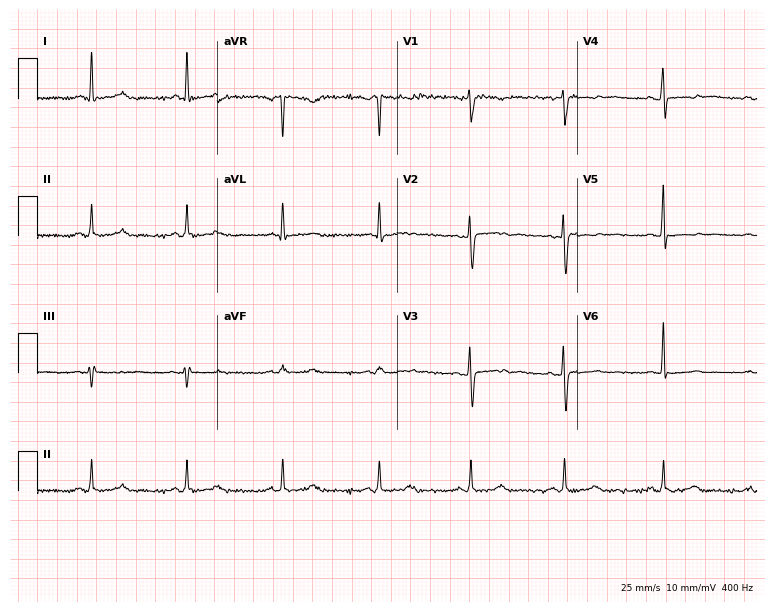
12-lead ECG from a 47-year-old female patient (7.3-second recording at 400 Hz). No first-degree AV block, right bundle branch block, left bundle branch block, sinus bradycardia, atrial fibrillation or sinus tachycardia recorded for this tracing.